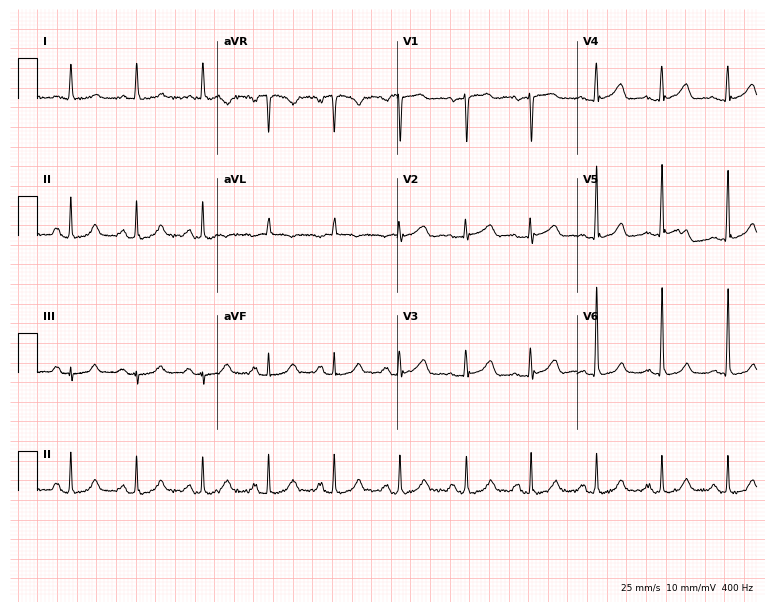
12-lead ECG (7.3-second recording at 400 Hz) from a woman, 79 years old. Screened for six findings — first-degree AV block, right bundle branch block (RBBB), left bundle branch block (LBBB), sinus bradycardia, atrial fibrillation (AF), sinus tachycardia — none is recorded.